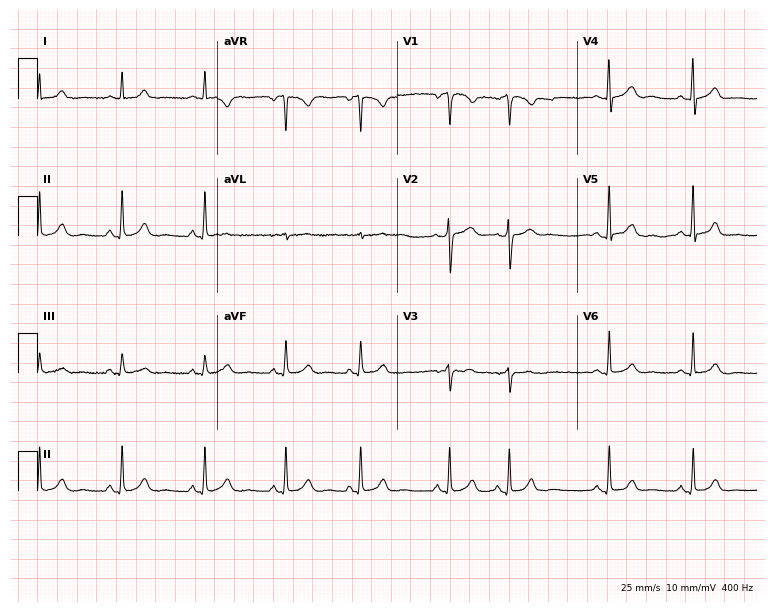
Electrocardiogram, a 55-year-old female. Overall reading on record: normal ECG.